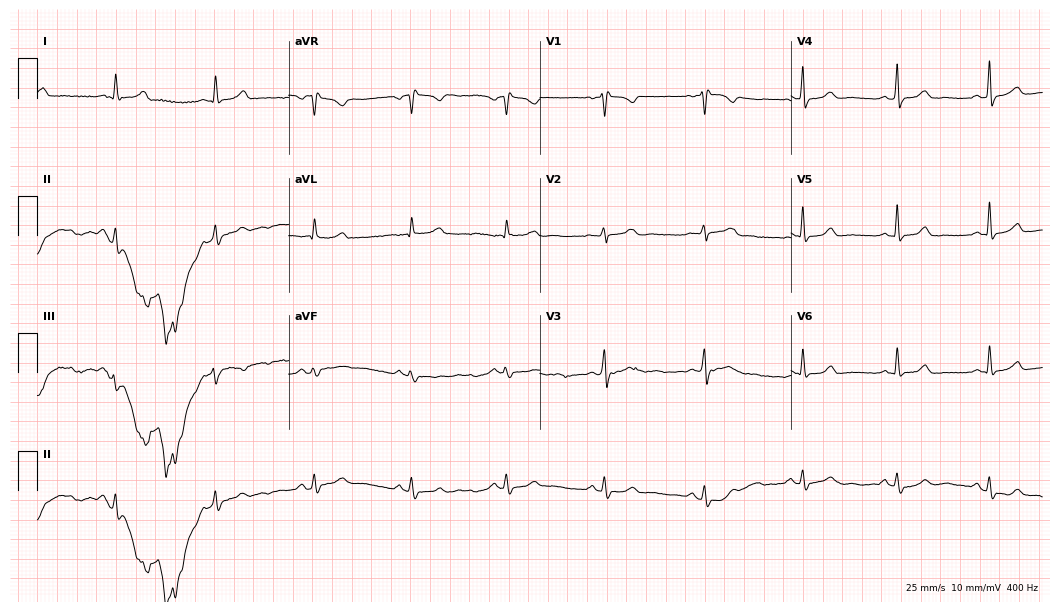
12-lead ECG (10.2-second recording at 400 Hz) from a 39-year-old woman. Screened for six findings — first-degree AV block, right bundle branch block, left bundle branch block, sinus bradycardia, atrial fibrillation, sinus tachycardia — none is recorded.